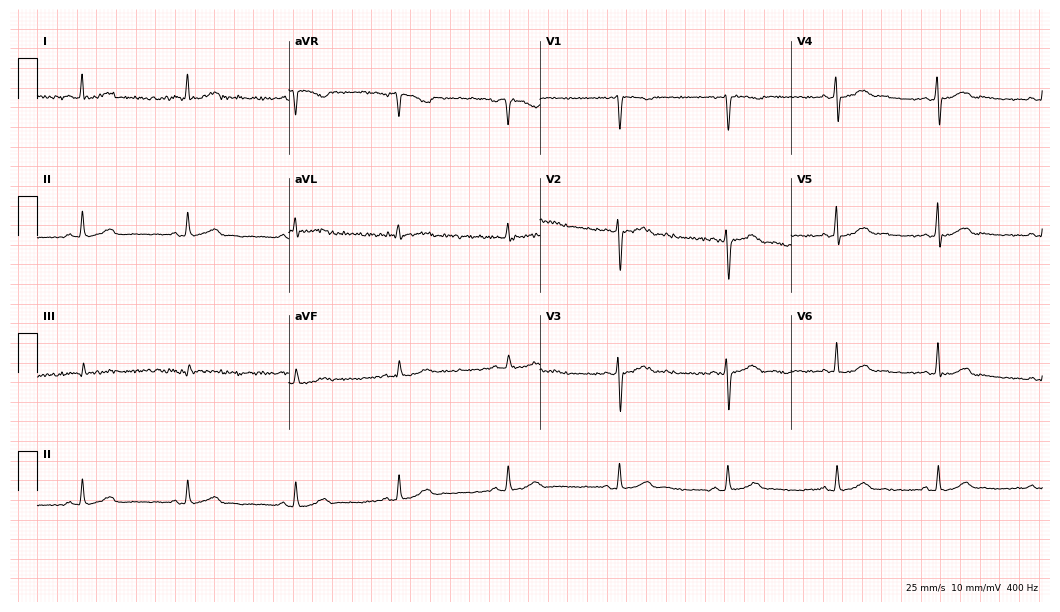
Electrocardiogram, a 39-year-old woman. Of the six screened findings (first-degree AV block, right bundle branch block, left bundle branch block, sinus bradycardia, atrial fibrillation, sinus tachycardia), none is recorded. Findings outside these six are not listed.